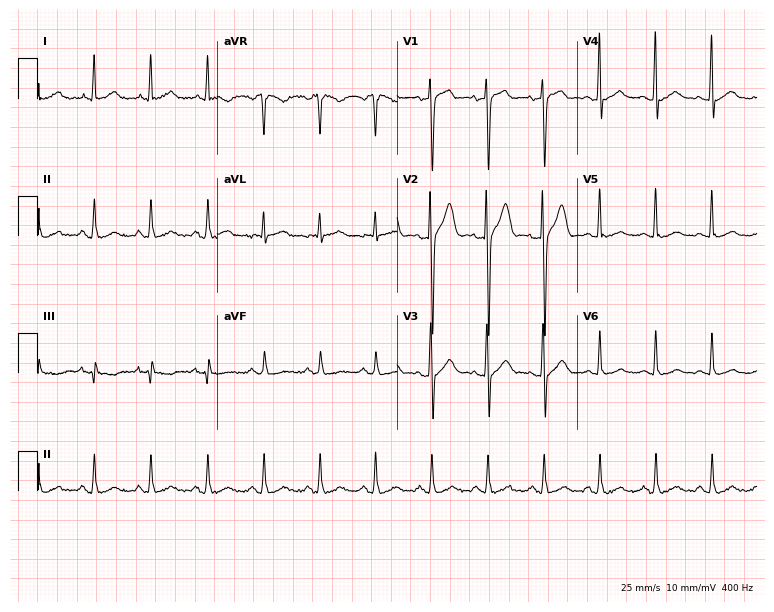
12-lead ECG from a 40-year-old man. Shows sinus tachycardia (a sinus rate of 100 beats per minute or more).